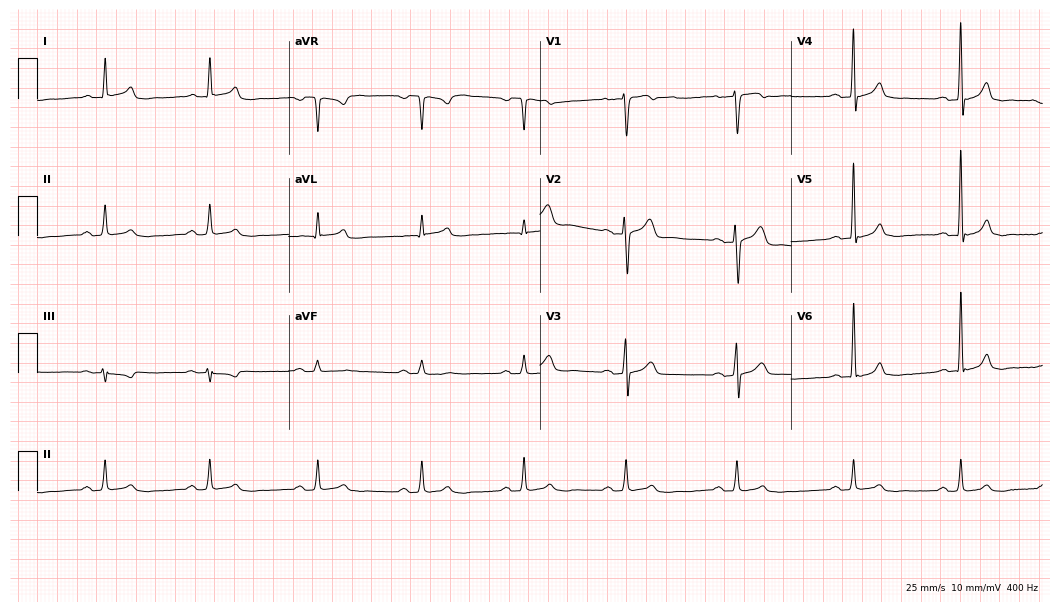
12-lead ECG from a 52-year-old man (10.2-second recording at 400 Hz). Recorded interpretation: within normal limits.